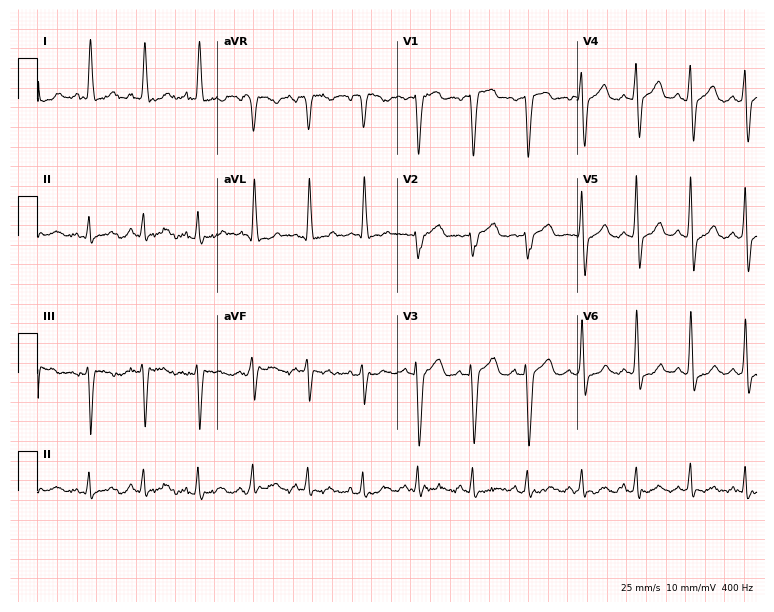
12-lead ECG (7.3-second recording at 400 Hz) from a 68-year-old woman. Screened for six findings — first-degree AV block, right bundle branch block, left bundle branch block, sinus bradycardia, atrial fibrillation, sinus tachycardia — none is recorded. Only these six findings were labelled.